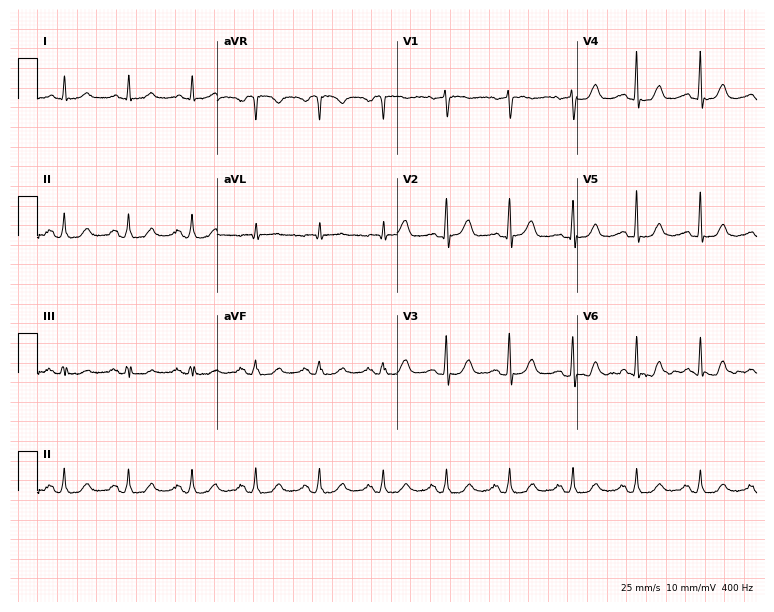
Standard 12-lead ECG recorded from a male patient, 81 years old. Read as a normal ECG.